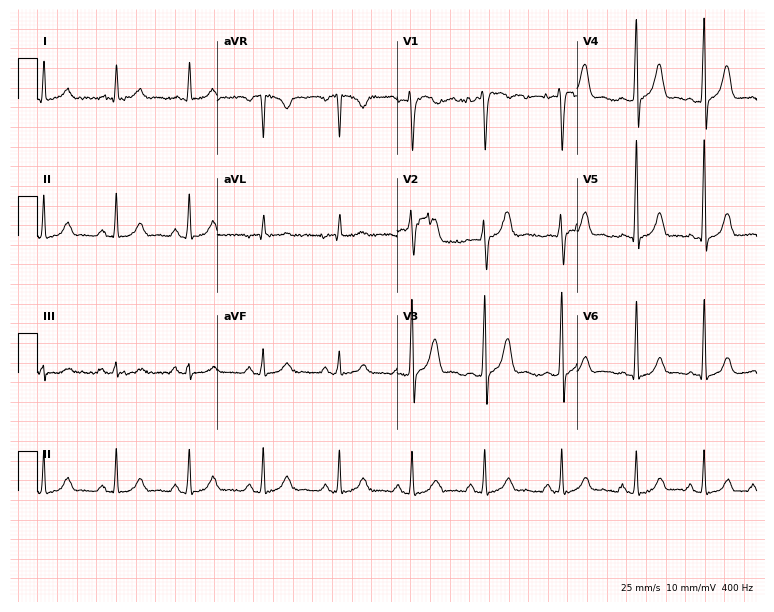
Resting 12-lead electrocardiogram (7.3-second recording at 400 Hz). Patient: a woman, 27 years old. Read as a normal ECG.